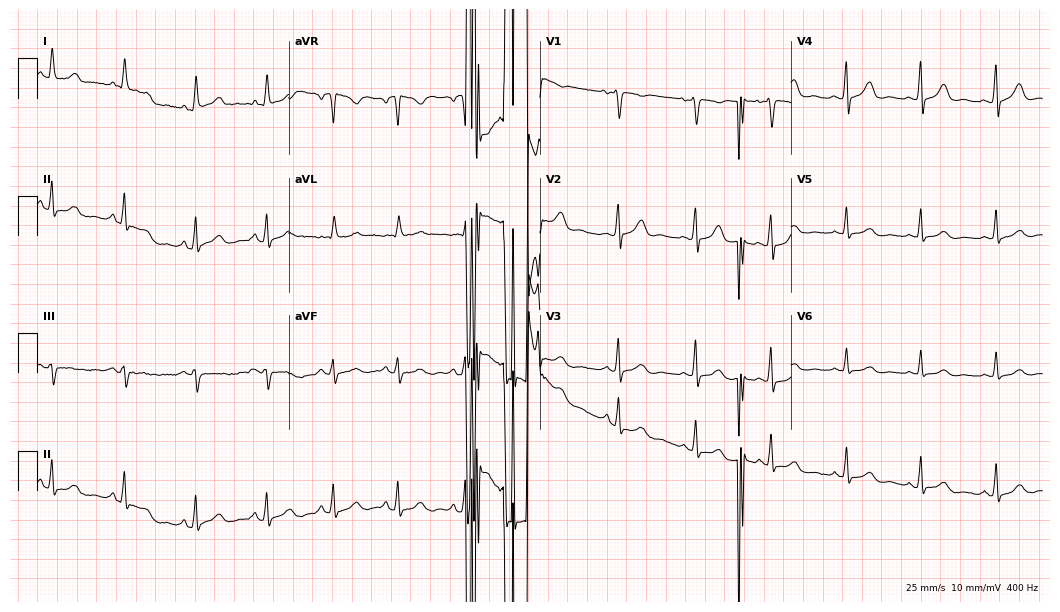
Resting 12-lead electrocardiogram. Patient: a female, 41 years old. None of these six findings is recorded: first-degree AV block, right bundle branch block, left bundle branch block, sinus bradycardia, atrial fibrillation, sinus tachycardia.